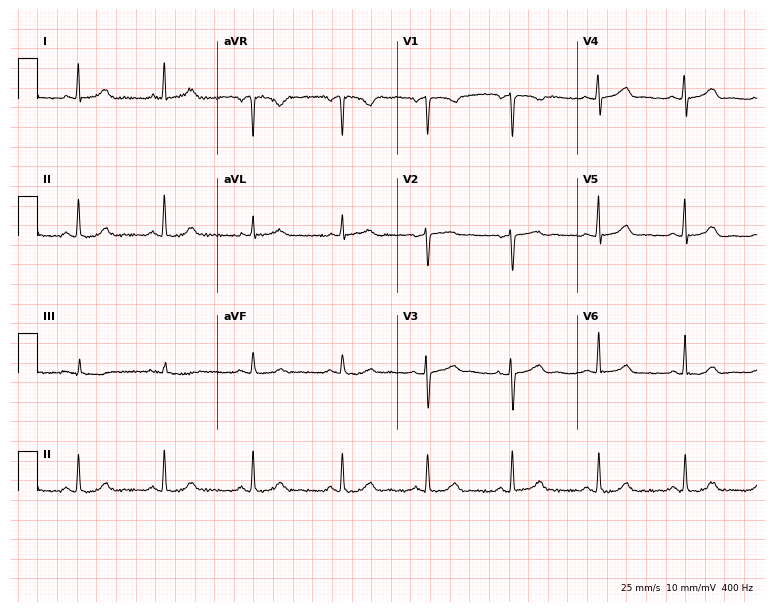
12-lead ECG (7.3-second recording at 400 Hz) from a 52-year-old woman. Labelled as a normal ECG.